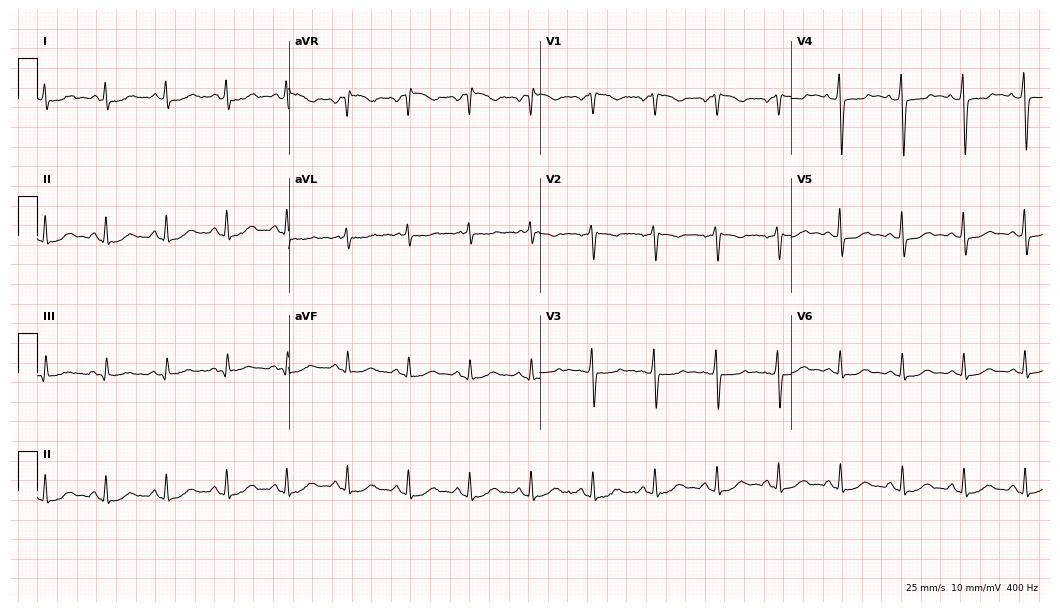
12-lead ECG from a female patient, 59 years old (10.2-second recording at 400 Hz). No first-degree AV block, right bundle branch block (RBBB), left bundle branch block (LBBB), sinus bradycardia, atrial fibrillation (AF) or sinus tachycardia recorded for this tracing.